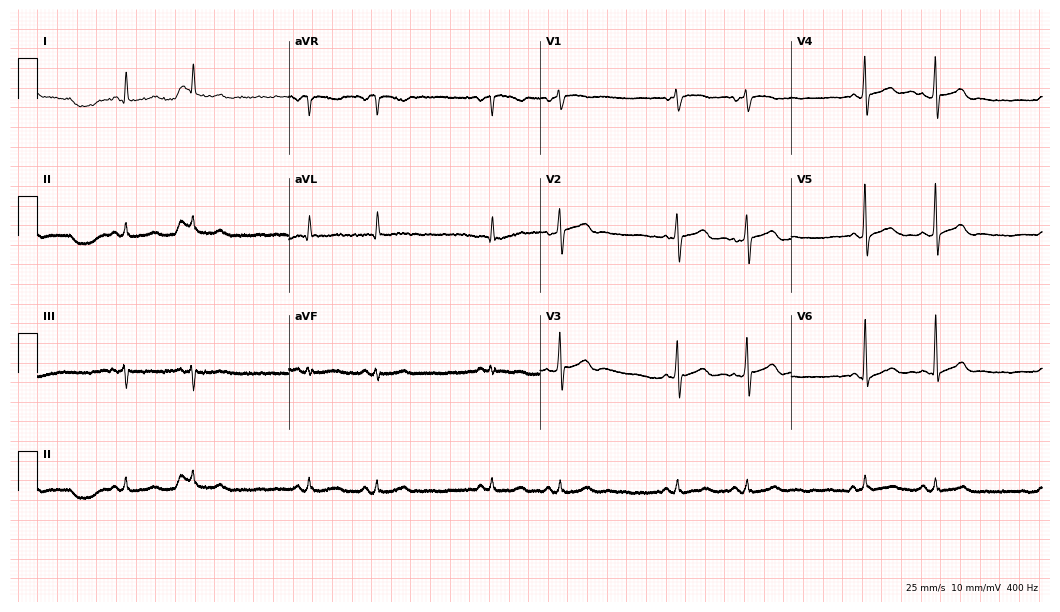
12-lead ECG from a 73-year-old male patient. No first-degree AV block, right bundle branch block, left bundle branch block, sinus bradycardia, atrial fibrillation or sinus tachycardia recorded for this tracing. Findings outside these six are not listed.